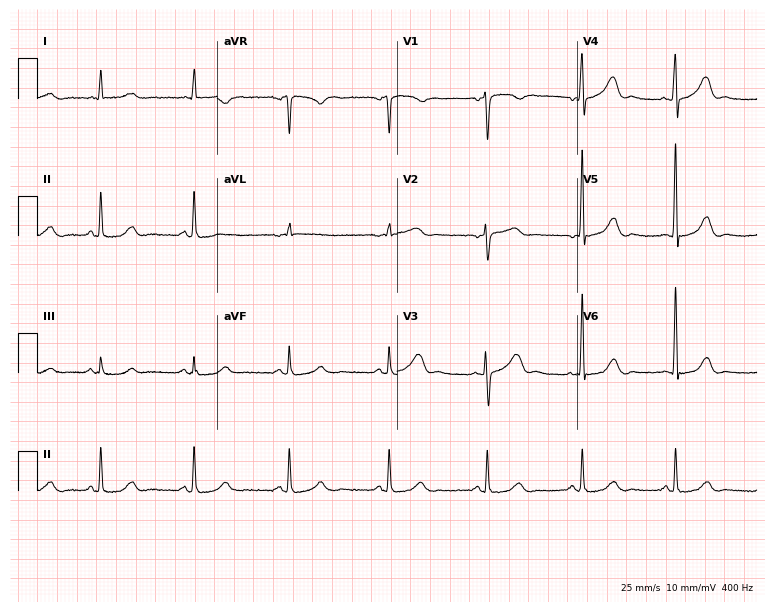
Electrocardiogram (7.3-second recording at 400 Hz), a 55-year-old female. Overall reading on record: normal ECG.